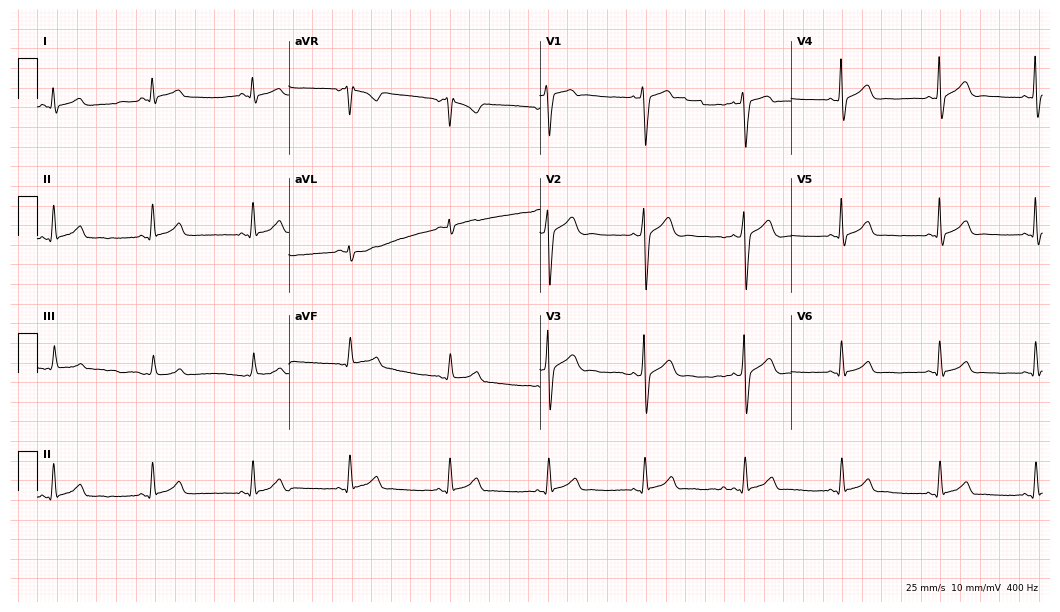
12-lead ECG (10.2-second recording at 400 Hz) from a 30-year-old female. Screened for six findings — first-degree AV block, right bundle branch block, left bundle branch block, sinus bradycardia, atrial fibrillation, sinus tachycardia — none is recorded.